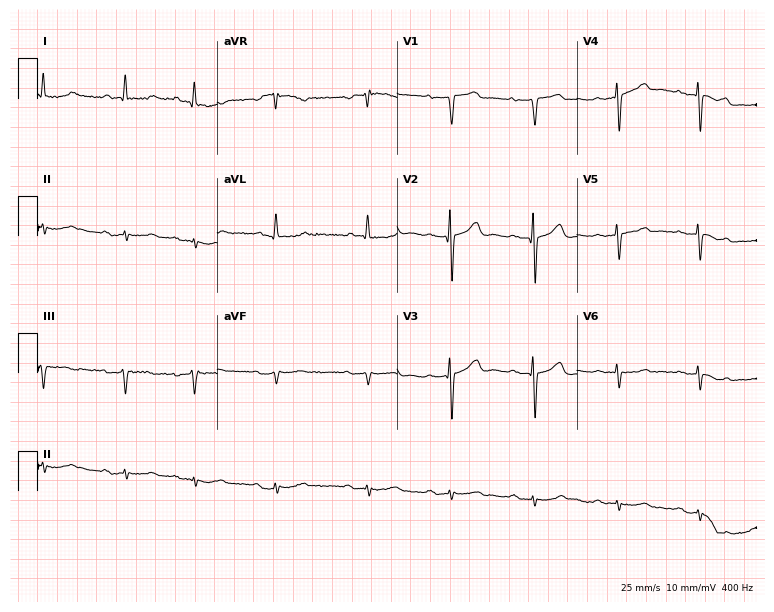
12-lead ECG (7.3-second recording at 400 Hz) from an 84-year-old man. Screened for six findings — first-degree AV block, right bundle branch block (RBBB), left bundle branch block (LBBB), sinus bradycardia, atrial fibrillation (AF), sinus tachycardia — none is recorded.